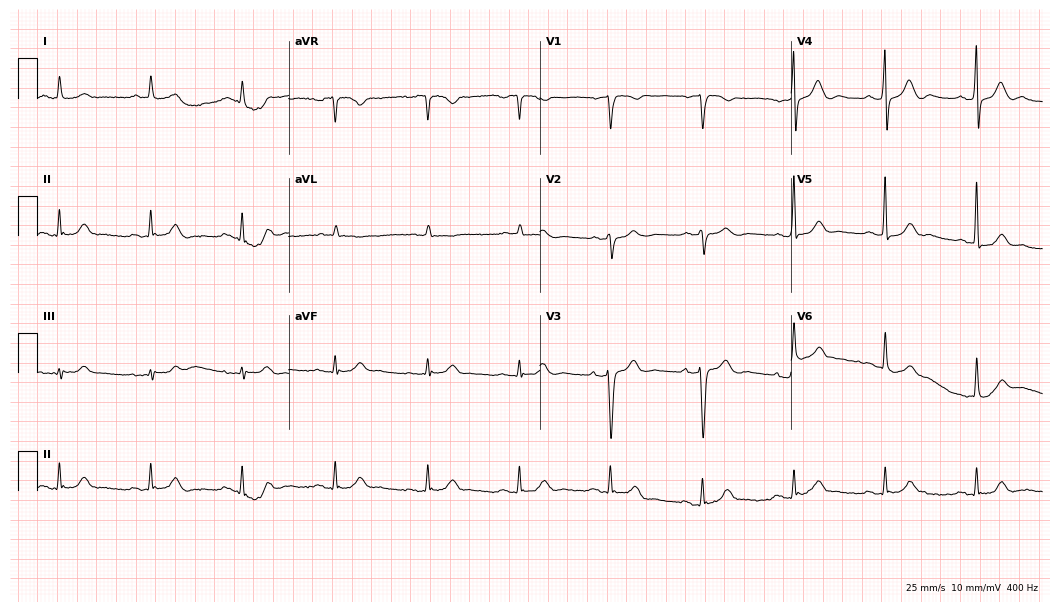
Standard 12-lead ECG recorded from a 74-year-old male. Read as a normal ECG.